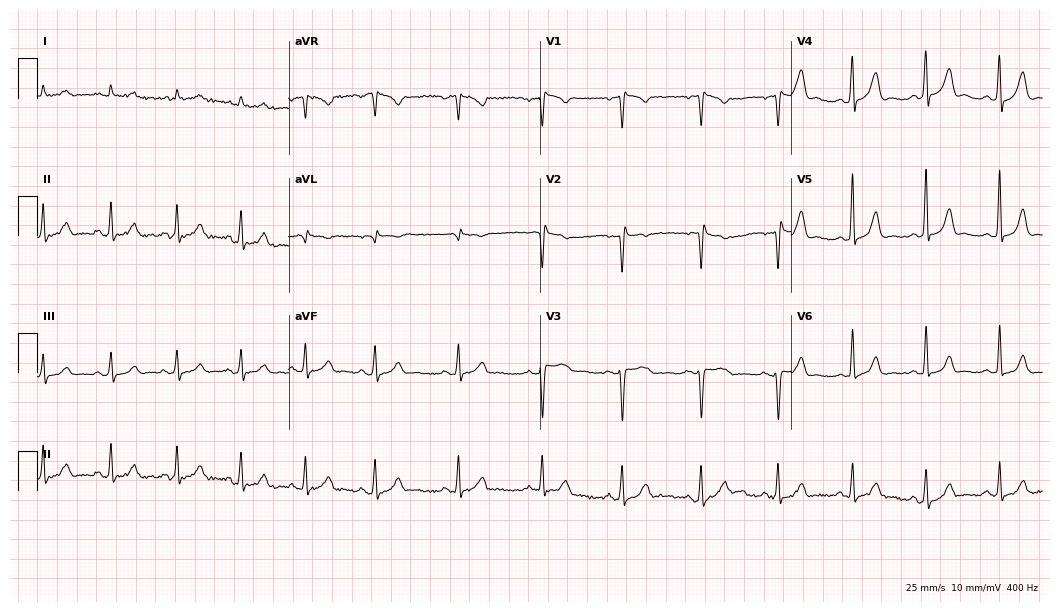
12-lead ECG (10.2-second recording at 400 Hz) from a female, 28 years old. Screened for six findings — first-degree AV block, right bundle branch block, left bundle branch block, sinus bradycardia, atrial fibrillation, sinus tachycardia — none is recorded.